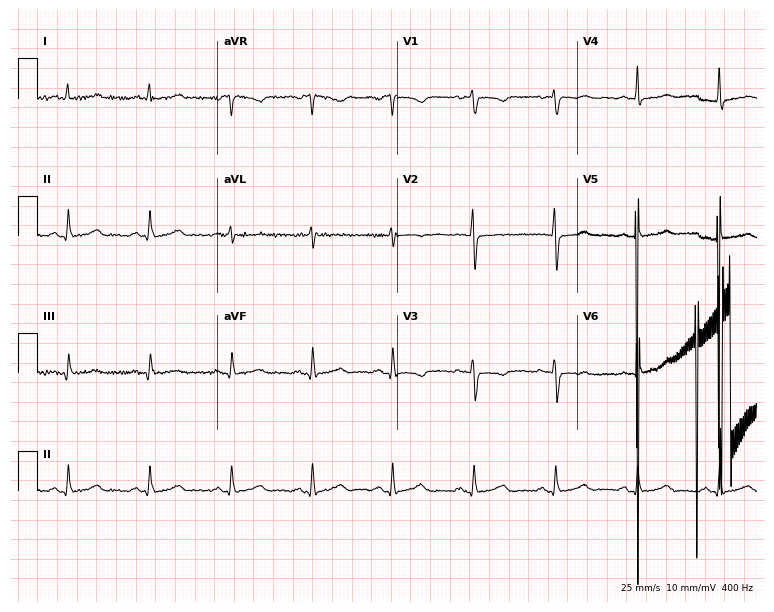
Standard 12-lead ECG recorded from a woman, 65 years old (7.3-second recording at 400 Hz). None of these six findings is recorded: first-degree AV block, right bundle branch block (RBBB), left bundle branch block (LBBB), sinus bradycardia, atrial fibrillation (AF), sinus tachycardia. Only these six findings were labelled.